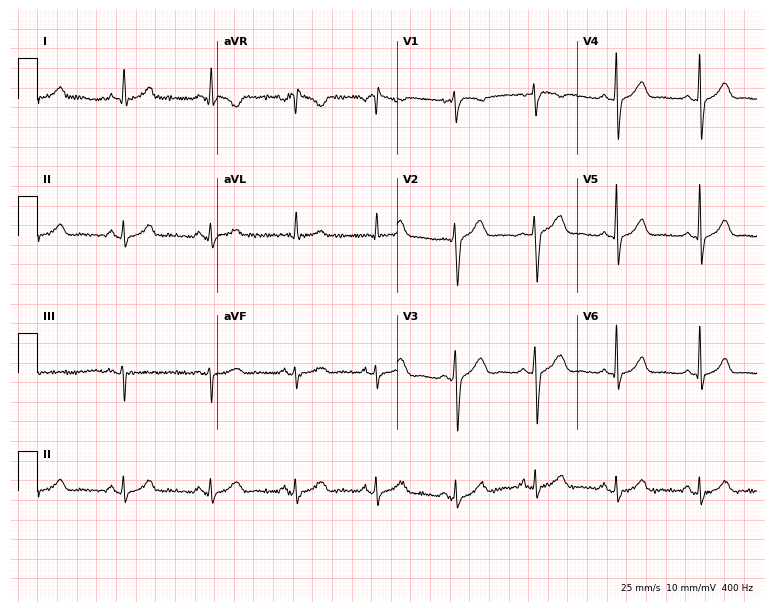
Standard 12-lead ECG recorded from a 50-year-old female patient (7.3-second recording at 400 Hz). Read as a normal ECG.